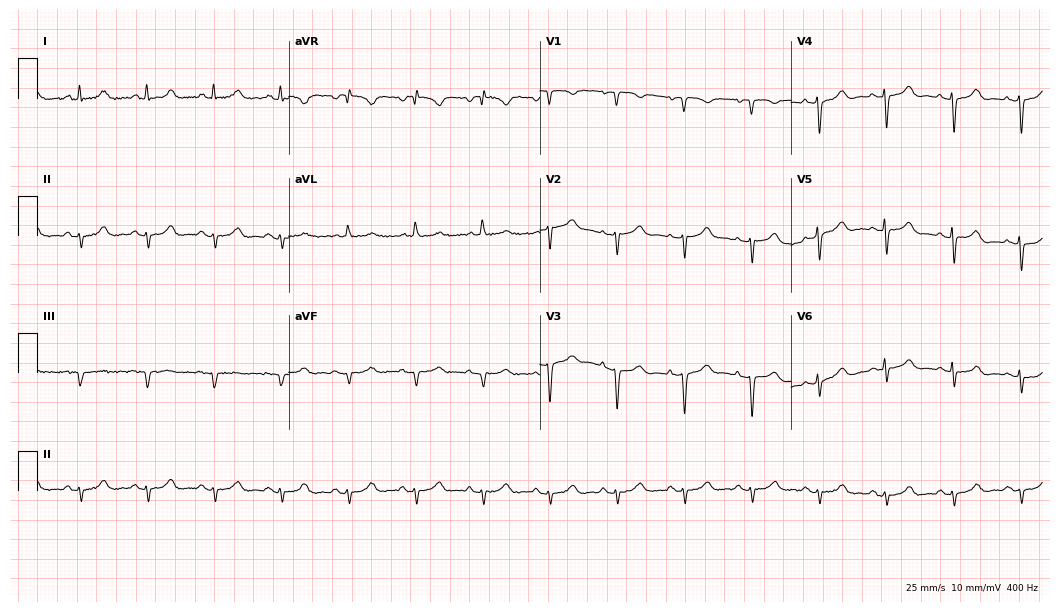
Electrocardiogram, a 79-year-old woman. Of the six screened findings (first-degree AV block, right bundle branch block, left bundle branch block, sinus bradycardia, atrial fibrillation, sinus tachycardia), none is recorded. Only these six findings were labelled.